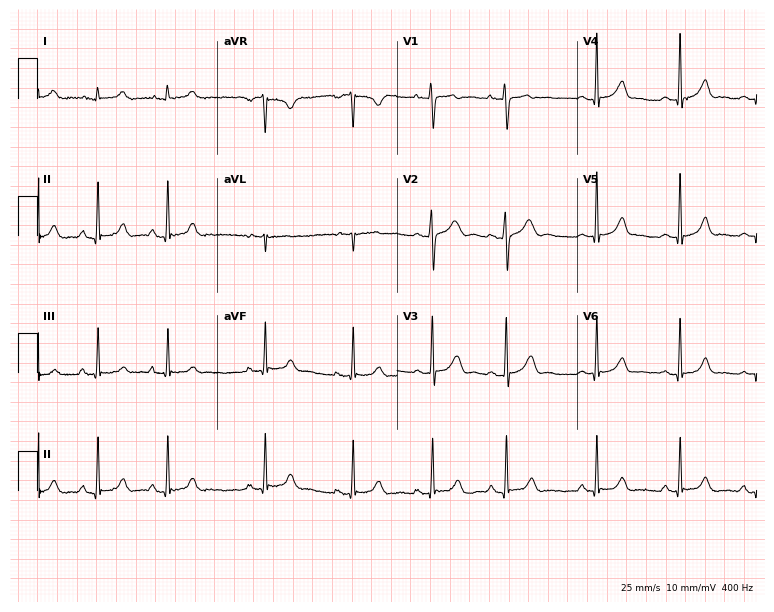
12-lead ECG (7.3-second recording at 400 Hz) from a female, 18 years old. Labelled as a normal ECG.